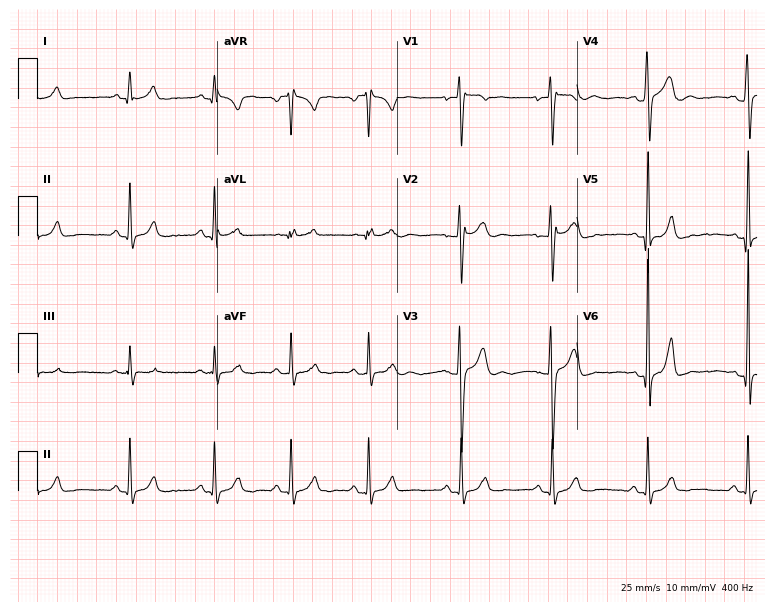
Resting 12-lead electrocardiogram (7.3-second recording at 400 Hz). Patient: a 22-year-old male. Read as a normal ECG.